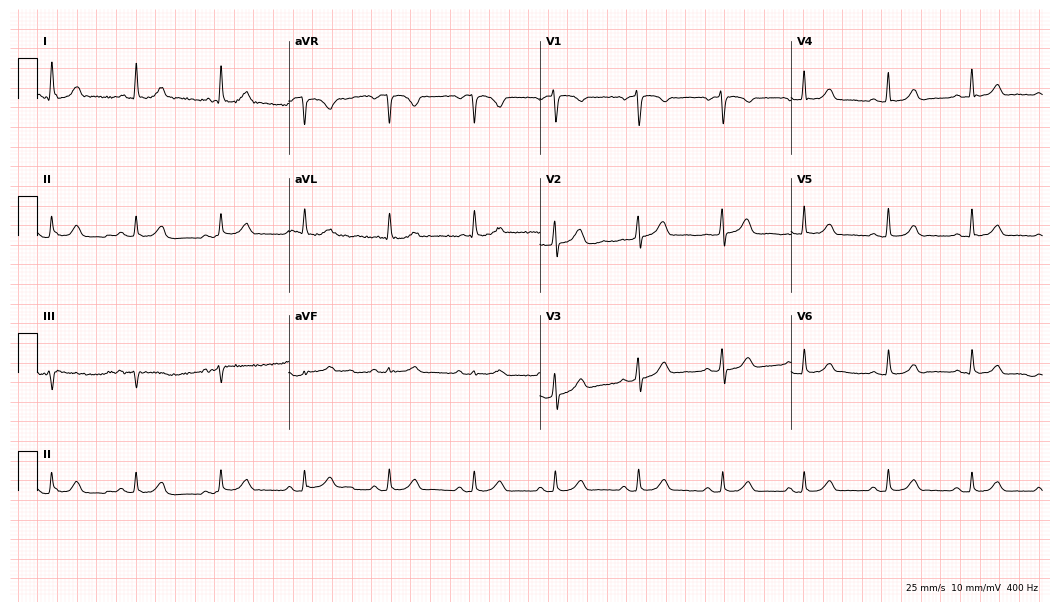
Resting 12-lead electrocardiogram. Patient: a 68-year-old female. None of these six findings is recorded: first-degree AV block, right bundle branch block (RBBB), left bundle branch block (LBBB), sinus bradycardia, atrial fibrillation (AF), sinus tachycardia. Only these six findings were labelled.